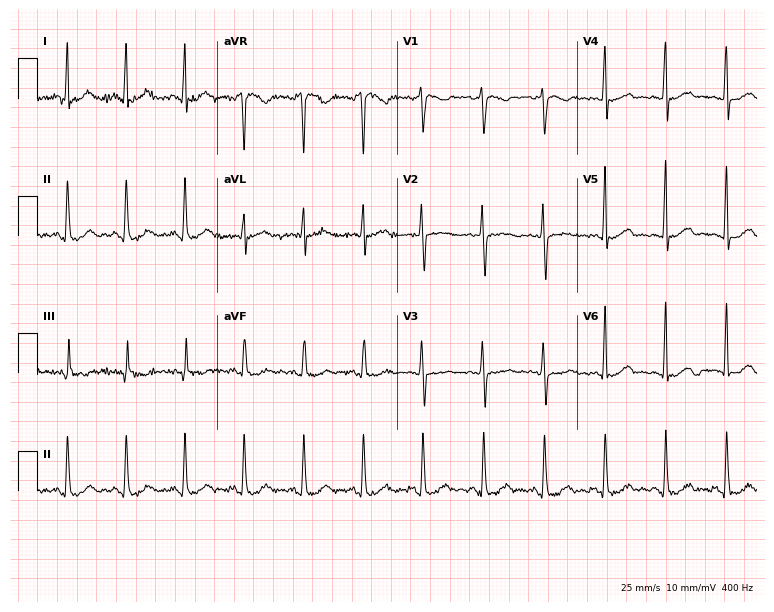
12-lead ECG from a female, 49 years old (7.3-second recording at 400 Hz). No first-degree AV block, right bundle branch block (RBBB), left bundle branch block (LBBB), sinus bradycardia, atrial fibrillation (AF) or sinus tachycardia recorded for this tracing.